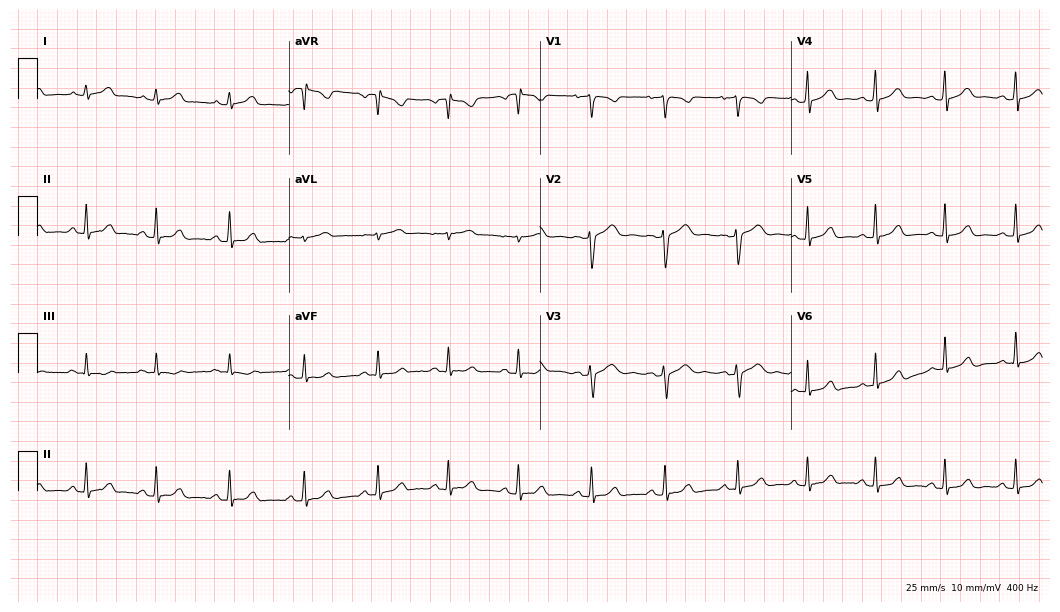
Standard 12-lead ECG recorded from a female patient, 25 years old (10.2-second recording at 400 Hz). None of these six findings is recorded: first-degree AV block, right bundle branch block (RBBB), left bundle branch block (LBBB), sinus bradycardia, atrial fibrillation (AF), sinus tachycardia.